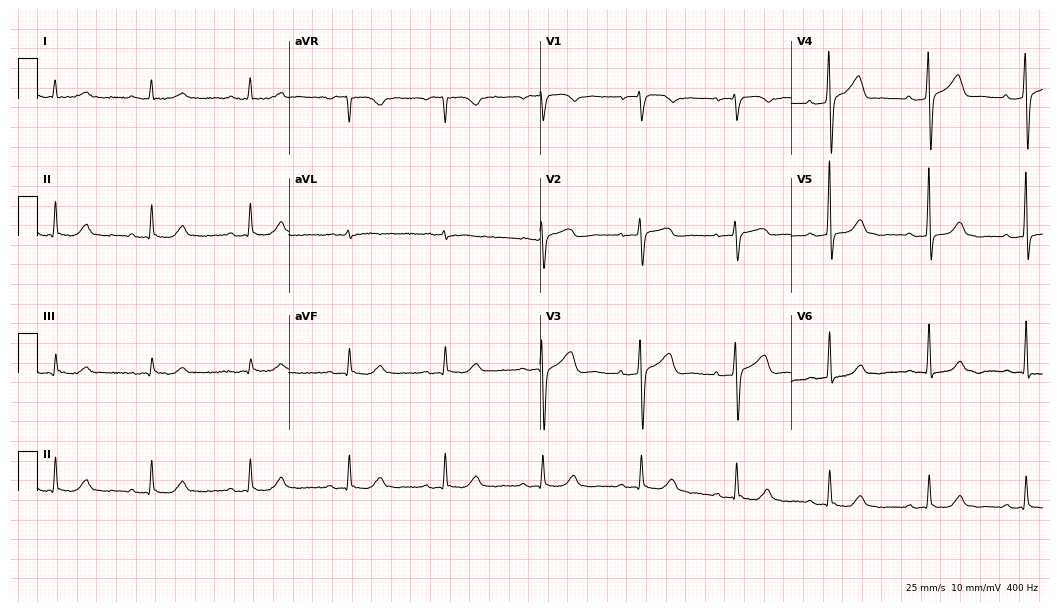
12-lead ECG from a woman, 65 years old. Labelled as a normal ECG.